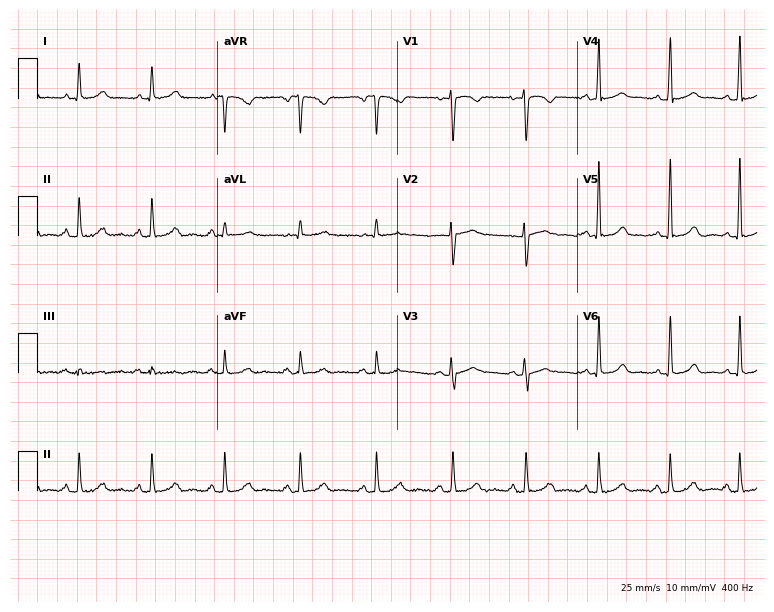
ECG (7.3-second recording at 400 Hz) — a 41-year-old female. Screened for six findings — first-degree AV block, right bundle branch block, left bundle branch block, sinus bradycardia, atrial fibrillation, sinus tachycardia — none is recorded.